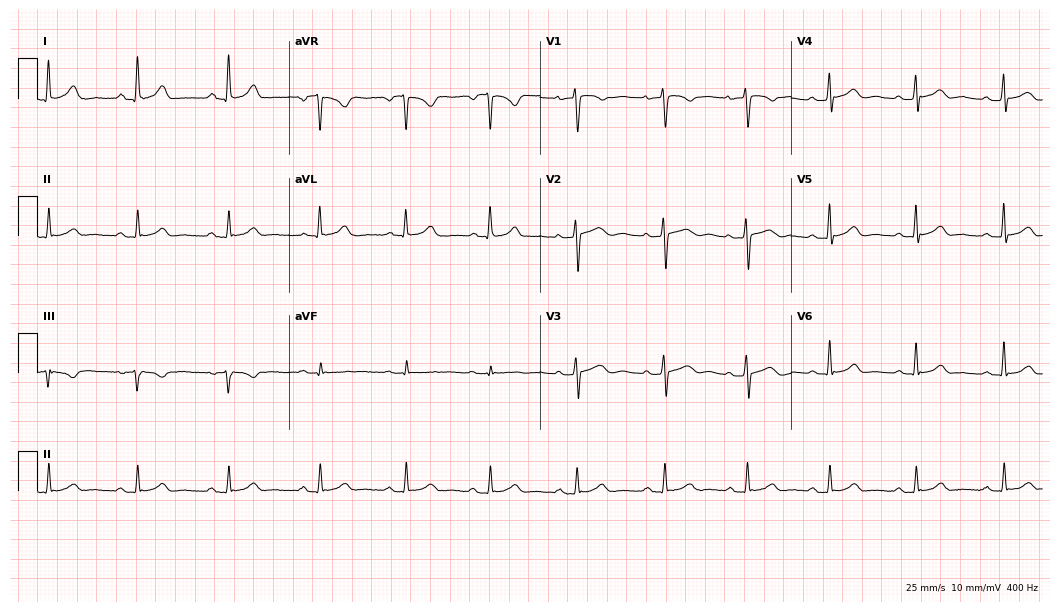
Standard 12-lead ECG recorded from a female patient, 41 years old (10.2-second recording at 400 Hz). Read as a normal ECG.